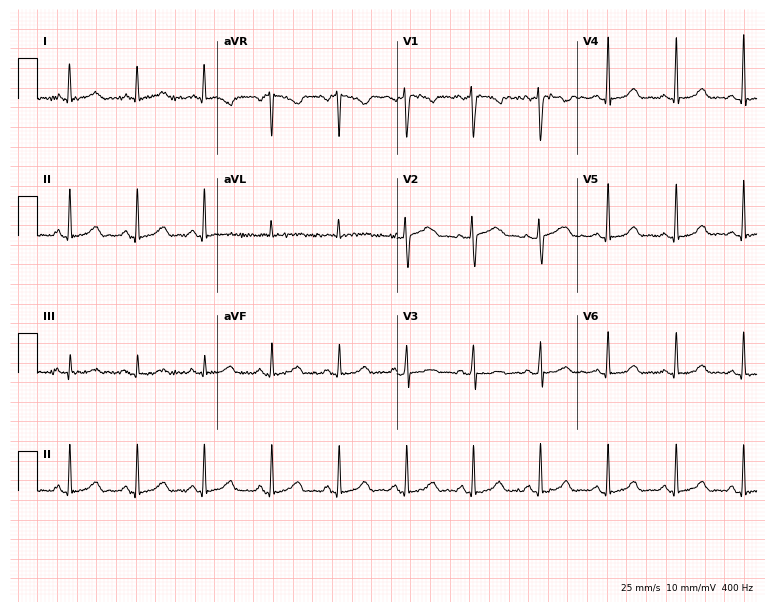
Resting 12-lead electrocardiogram (7.3-second recording at 400 Hz). Patient: a 44-year-old woman. Read as a normal ECG.